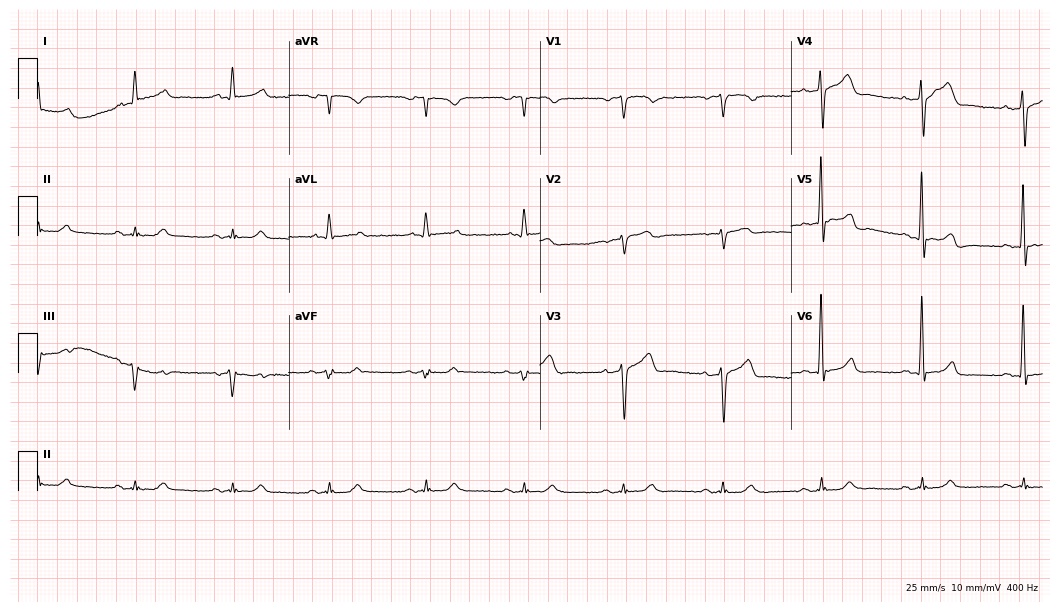
12-lead ECG from a male, 78 years old. Labelled as a normal ECG.